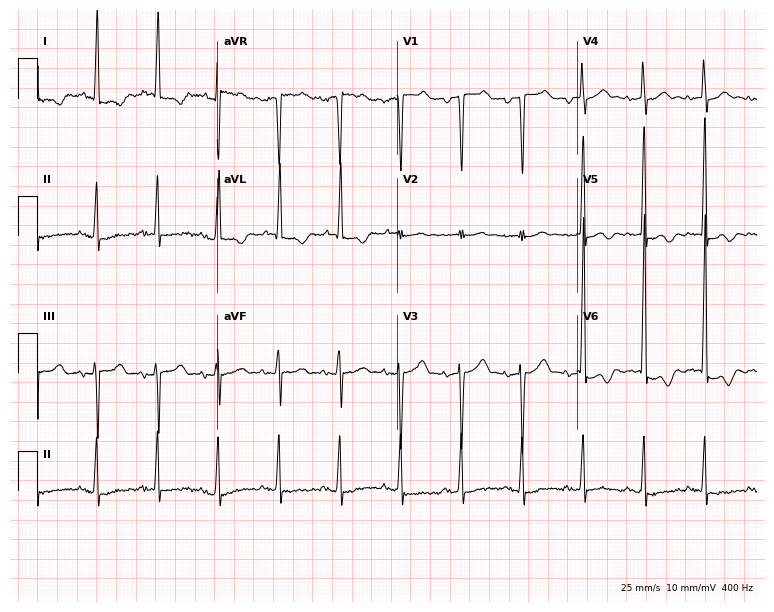
Resting 12-lead electrocardiogram (7.3-second recording at 400 Hz). Patient: a 75-year-old female. None of these six findings is recorded: first-degree AV block, right bundle branch block, left bundle branch block, sinus bradycardia, atrial fibrillation, sinus tachycardia. Findings outside these six are not listed.